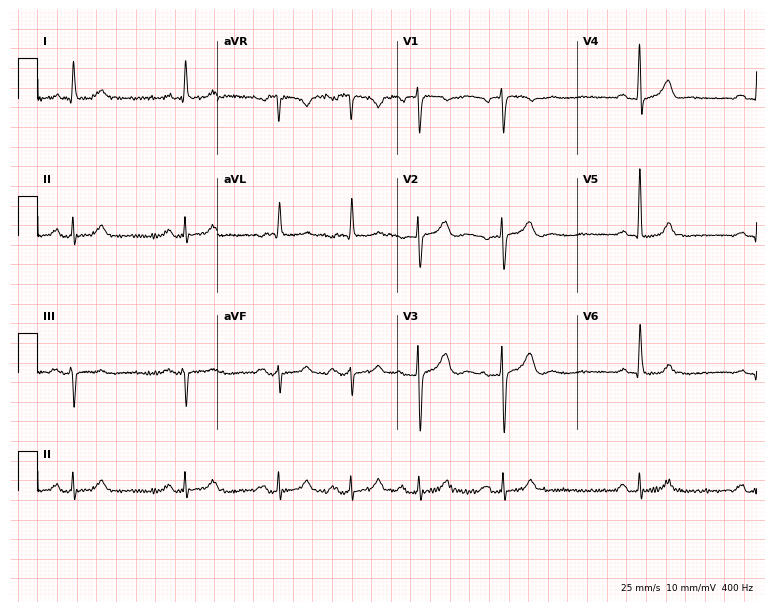
Resting 12-lead electrocardiogram (7.3-second recording at 400 Hz). Patient: a 78-year-old male. None of these six findings is recorded: first-degree AV block, right bundle branch block, left bundle branch block, sinus bradycardia, atrial fibrillation, sinus tachycardia. Findings outside these six are not listed.